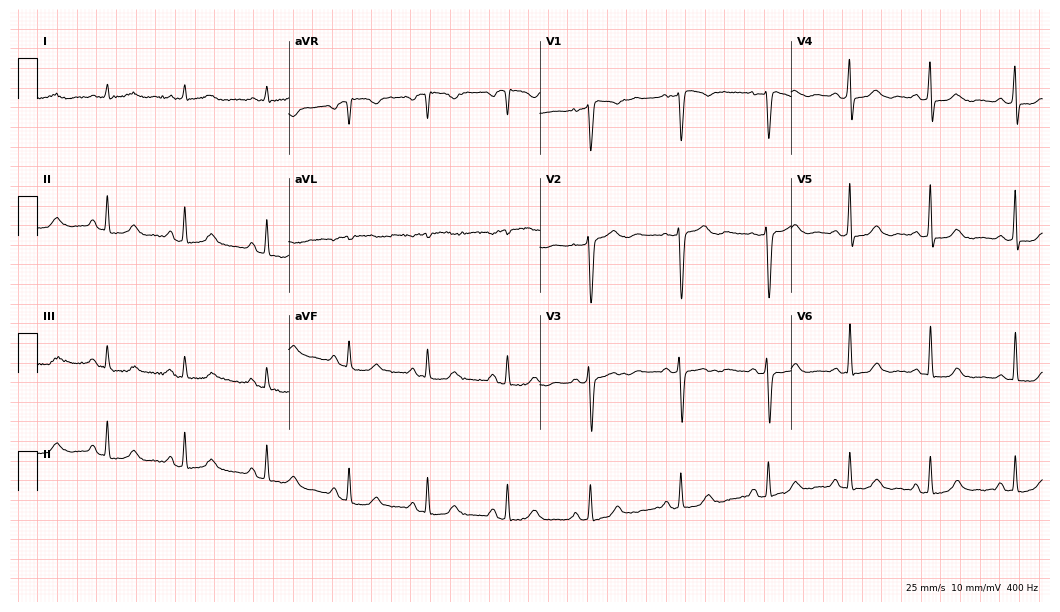
12-lead ECG (10.2-second recording at 400 Hz) from a female patient, 46 years old. Labelled as a normal ECG.